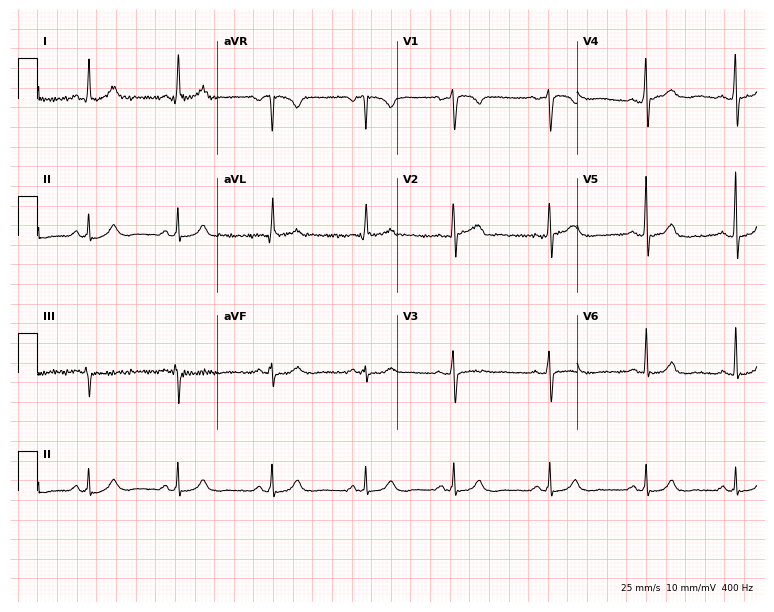
ECG (7.3-second recording at 400 Hz) — a 43-year-old female patient. Labelled as a normal ECG.